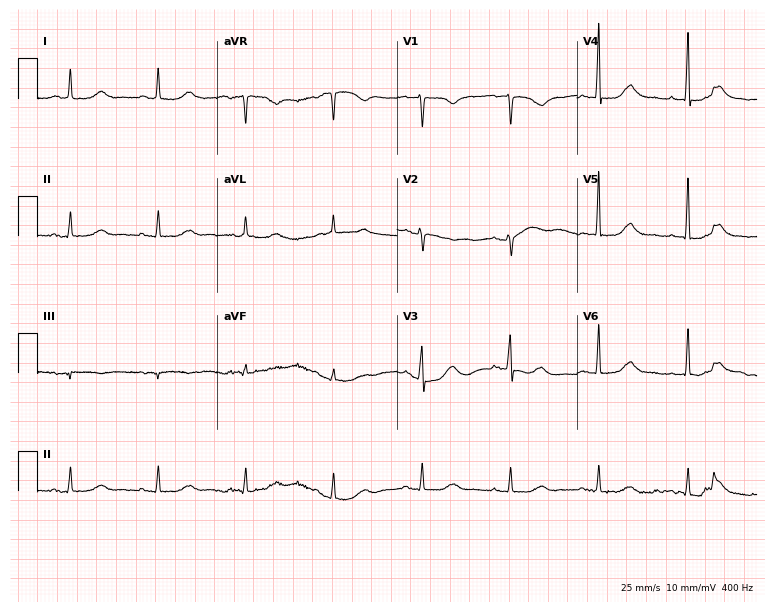
ECG — a 74-year-old female patient. Screened for six findings — first-degree AV block, right bundle branch block, left bundle branch block, sinus bradycardia, atrial fibrillation, sinus tachycardia — none is recorded.